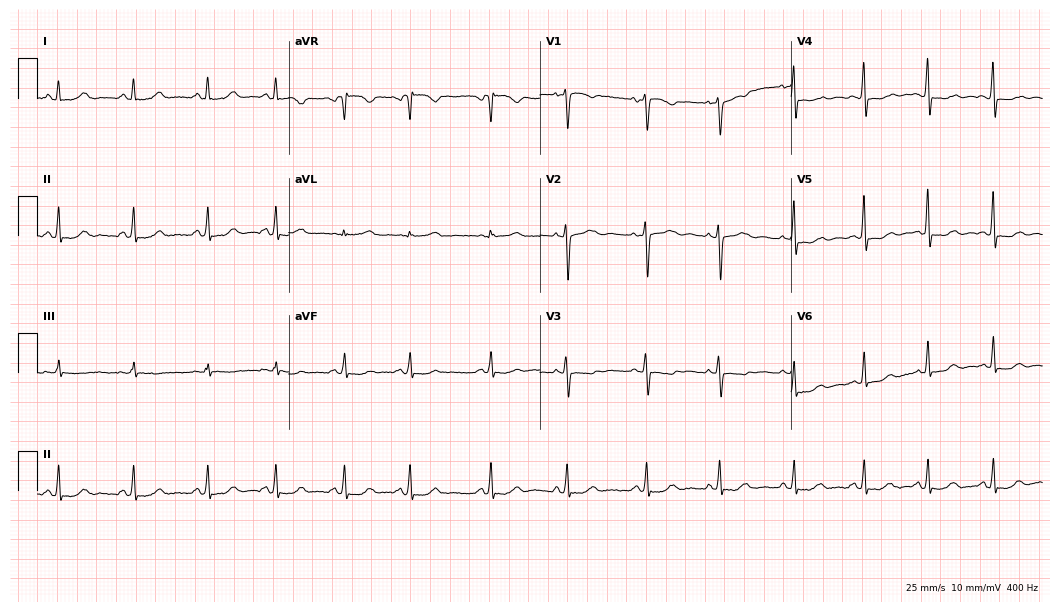
Resting 12-lead electrocardiogram. Patient: a woman, 54 years old. None of these six findings is recorded: first-degree AV block, right bundle branch block, left bundle branch block, sinus bradycardia, atrial fibrillation, sinus tachycardia.